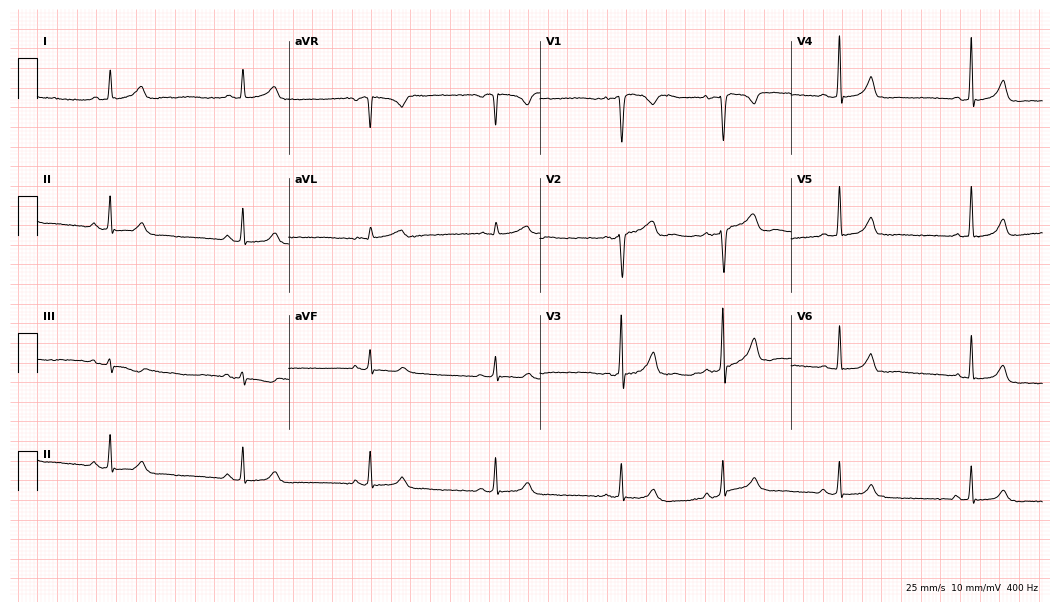
ECG (10.2-second recording at 400 Hz) — a woman, 30 years old. Findings include sinus bradycardia (a sinus rate of 50 beats per minute or less).